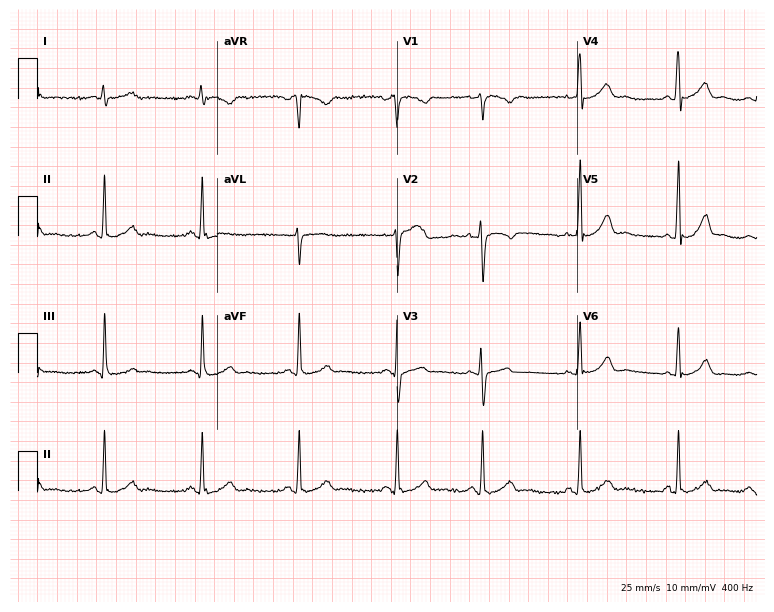
Electrocardiogram, a 24-year-old female. Of the six screened findings (first-degree AV block, right bundle branch block, left bundle branch block, sinus bradycardia, atrial fibrillation, sinus tachycardia), none is recorded.